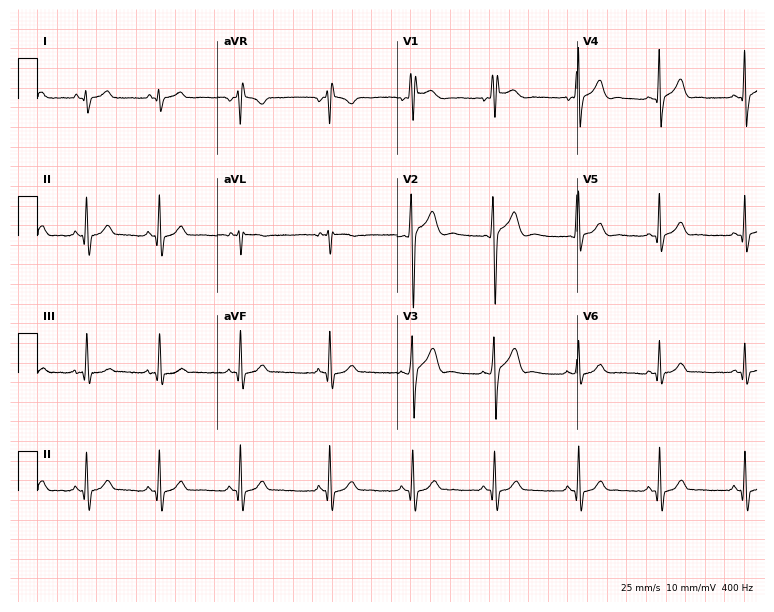
12-lead ECG from a male patient, 20 years old (7.3-second recording at 400 Hz). No first-degree AV block, right bundle branch block, left bundle branch block, sinus bradycardia, atrial fibrillation or sinus tachycardia recorded for this tracing.